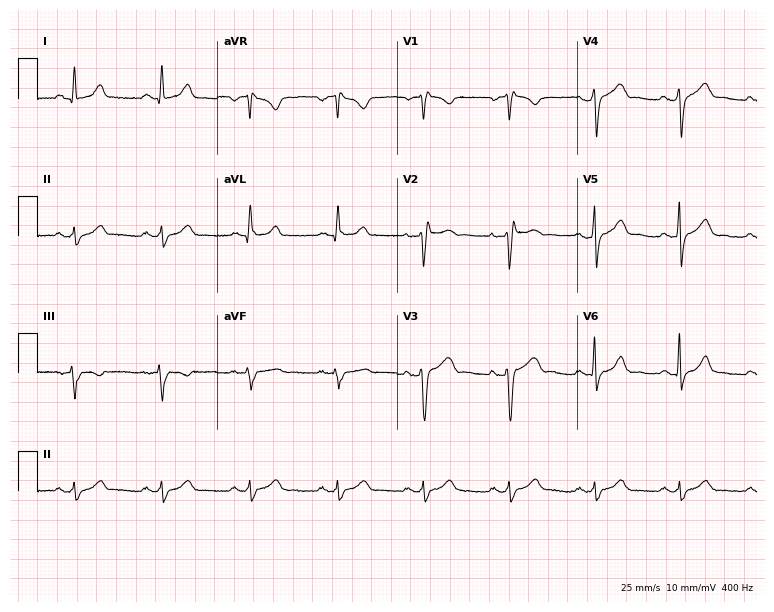
ECG (7.3-second recording at 400 Hz) — a male patient, 45 years old. Screened for six findings — first-degree AV block, right bundle branch block (RBBB), left bundle branch block (LBBB), sinus bradycardia, atrial fibrillation (AF), sinus tachycardia — none is recorded.